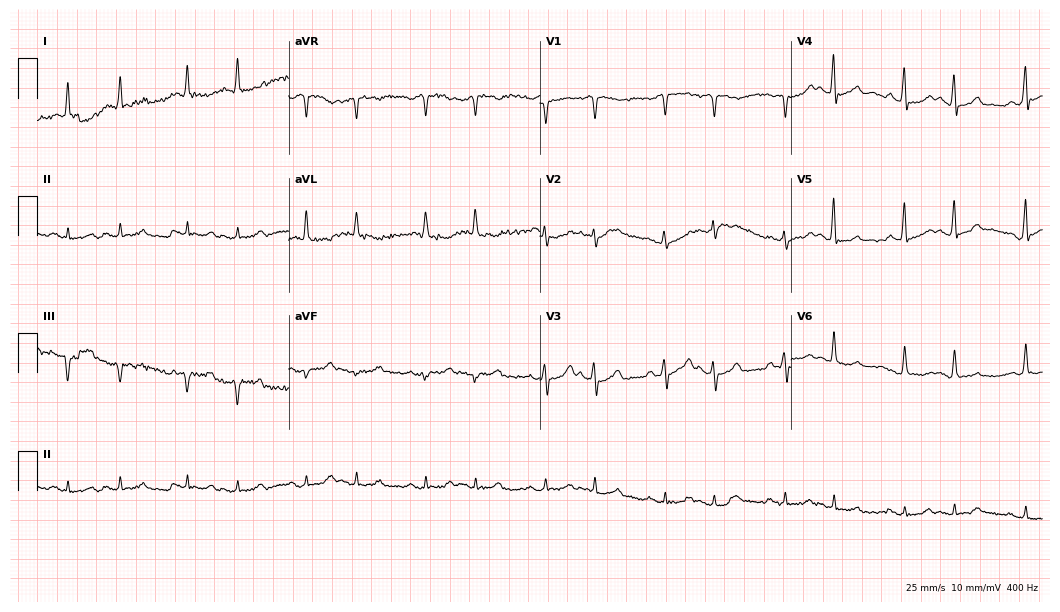
Standard 12-lead ECG recorded from a male, 70 years old. Read as a normal ECG.